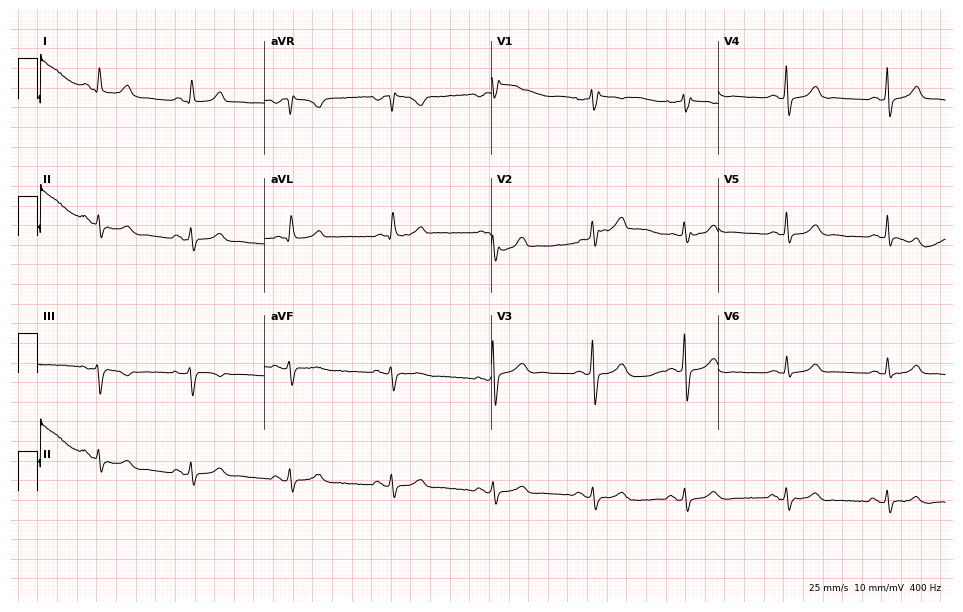
12-lead ECG from a woman, 48 years old. Screened for six findings — first-degree AV block, right bundle branch block (RBBB), left bundle branch block (LBBB), sinus bradycardia, atrial fibrillation (AF), sinus tachycardia — none is recorded. Other findings, if any, are not listed.